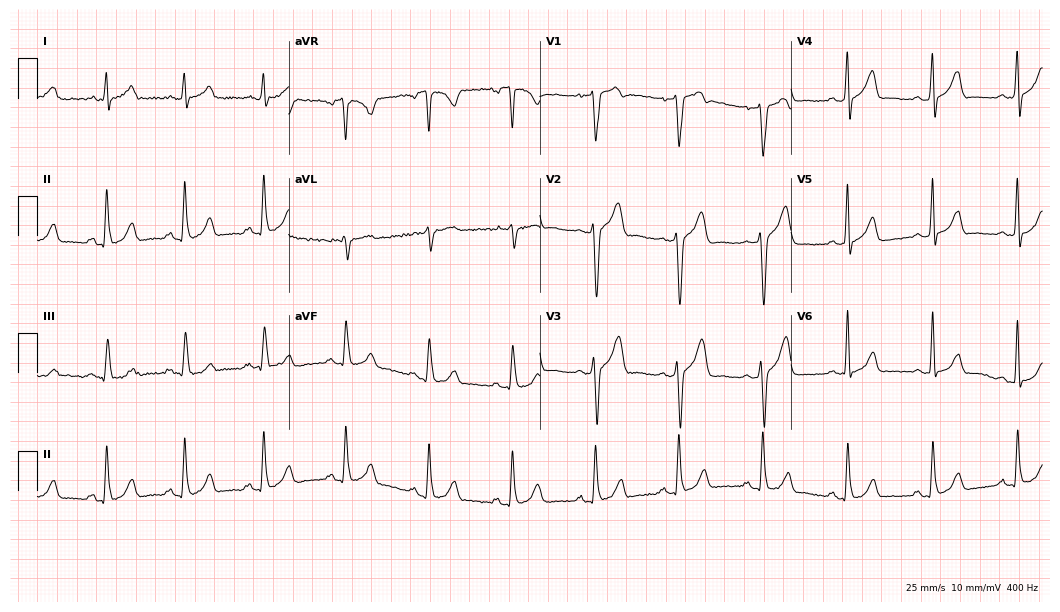
Standard 12-lead ECG recorded from a female, 34 years old. Read as a normal ECG.